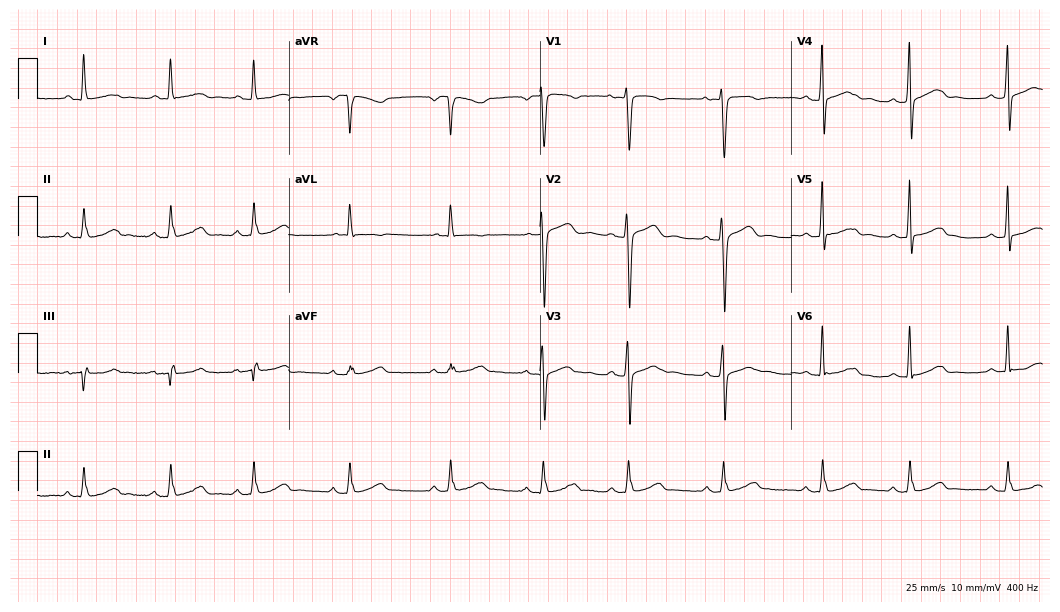
12-lead ECG from a female patient, 36 years old. No first-degree AV block, right bundle branch block (RBBB), left bundle branch block (LBBB), sinus bradycardia, atrial fibrillation (AF) or sinus tachycardia recorded for this tracing. Only these six findings were labelled.